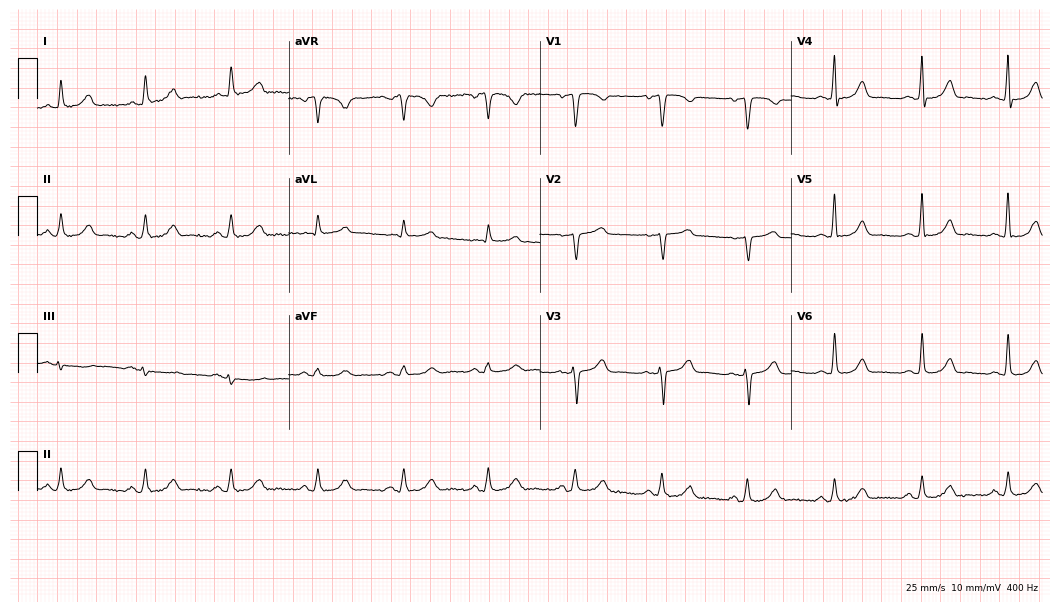
Resting 12-lead electrocardiogram. Patient: a female, 63 years old. Read as a normal ECG.